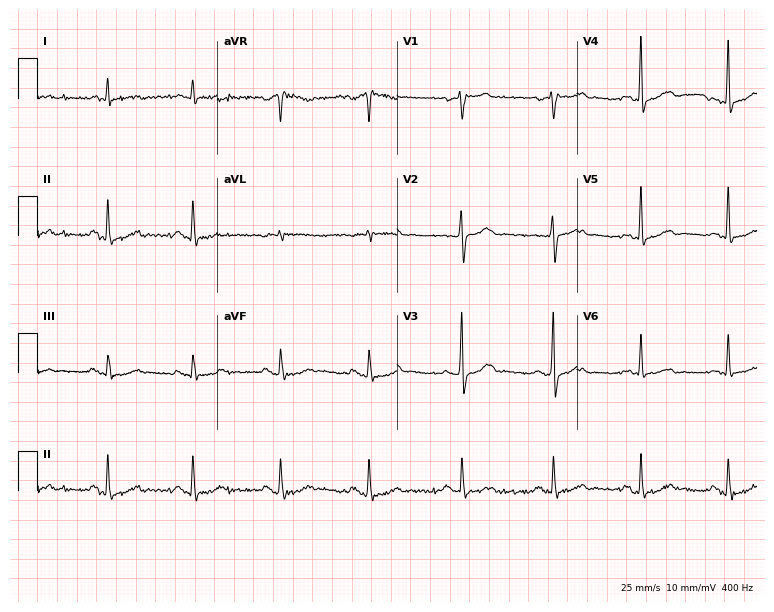
12-lead ECG from an 80-year-old man. Screened for six findings — first-degree AV block, right bundle branch block, left bundle branch block, sinus bradycardia, atrial fibrillation, sinus tachycardia — none is recorded. Only these six findings were labelled.